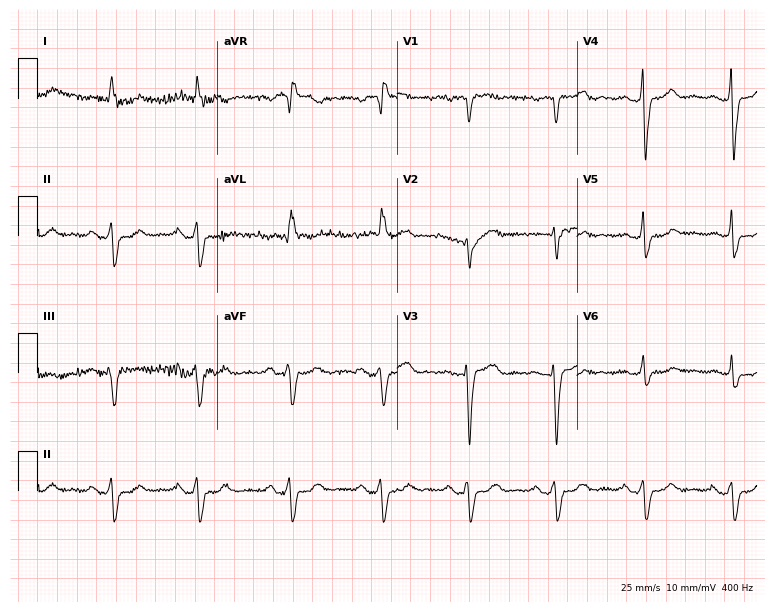
Electrocardiogram, a female patient, 62 years old. Of the six screened findings (first-degree AV block, right bundle branch block, left bundle branch block, sinus bradycardia, atrial fibrillation, sinus tachycardia), none is recorded.